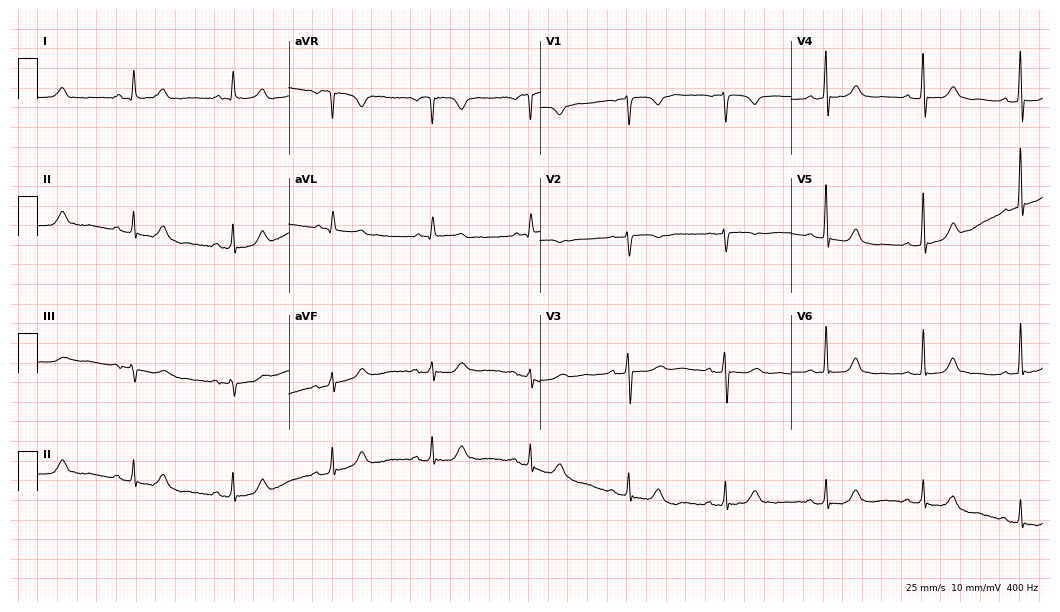
Electrocardiogram, a woman, 66 years old. Of the six screened findings (first-degree AV block, right bundle branch block, left bundle branch block, sinus bradycardia, atrial fibrillation, sinus tachycardia), none is recorded.